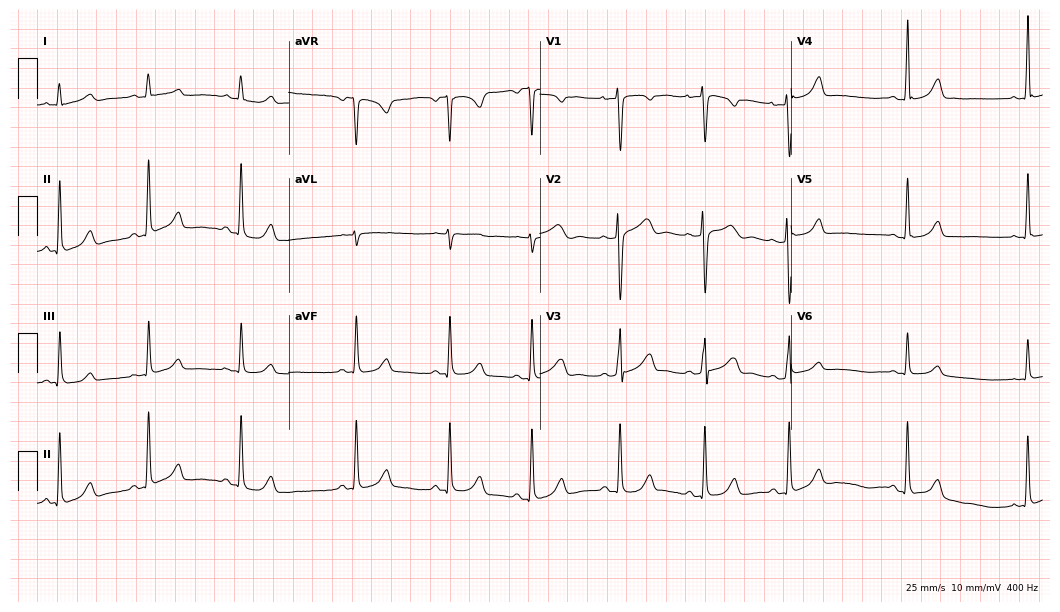
12-lead ECG (10.2-second recording at 400 Hz) from a 30-year-old woman. Labelled as a normal ECG.